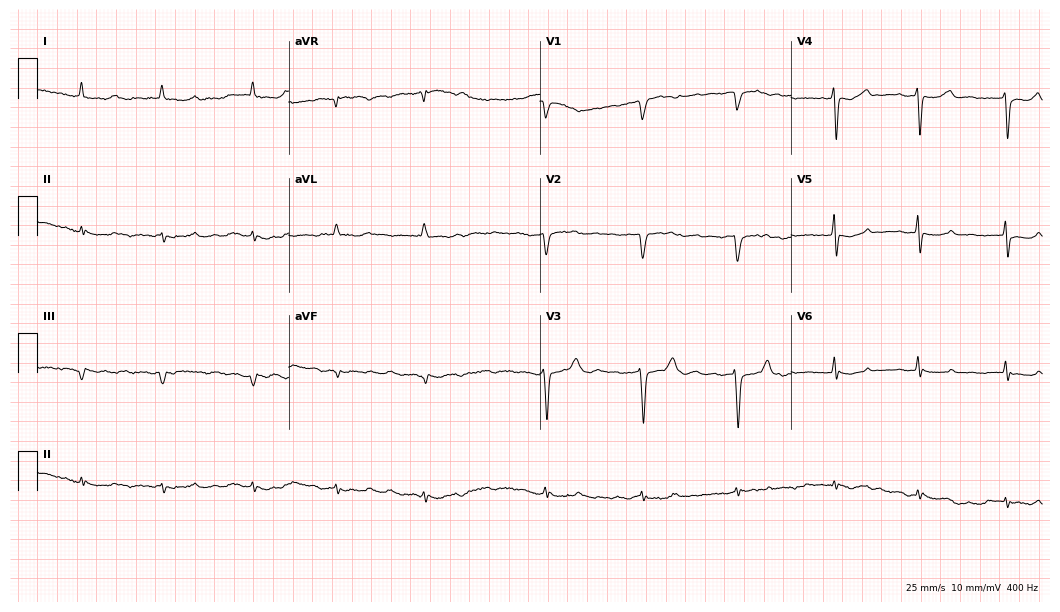
Standard 12-lead ECG recorded from an 83-year-old female patient. The tracing shows atrial fibrillation.